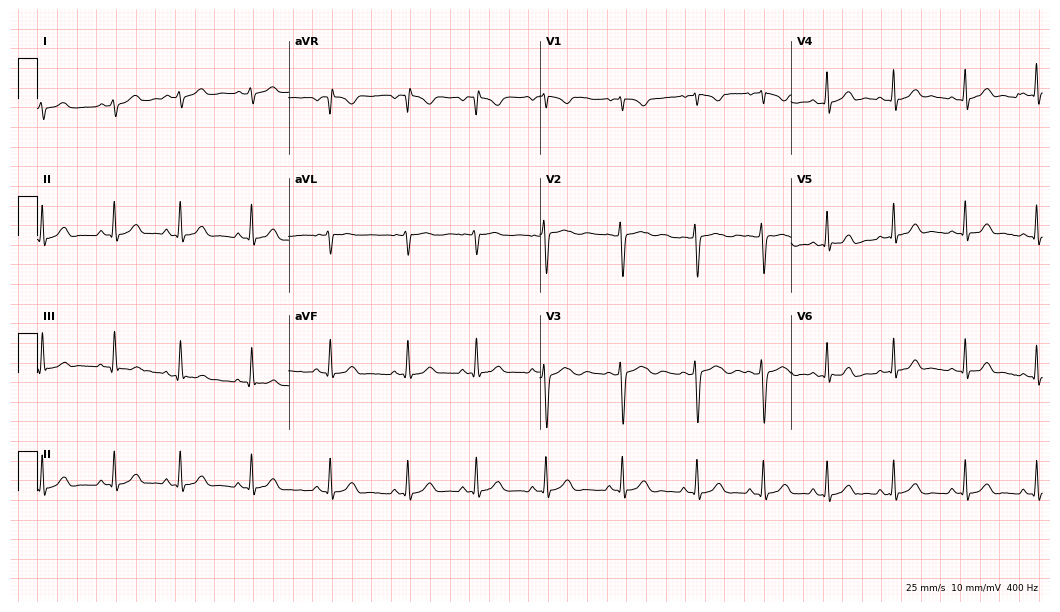
Standard 12-lead ECG recorded from an 18-year-old female patient (10.2-second recording at 400 Hz). Read as a normal ECG.